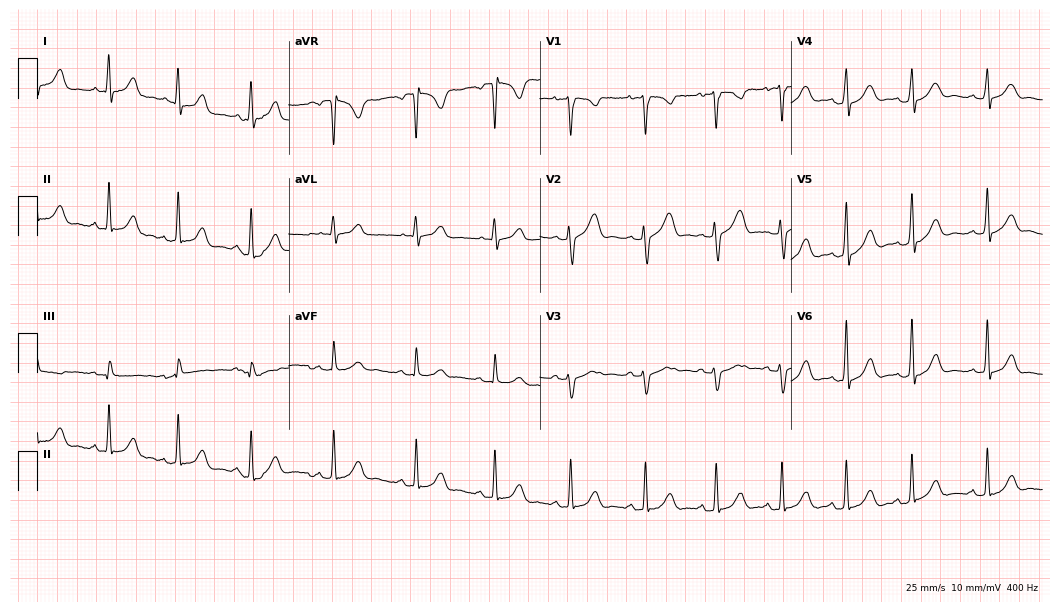
Resting 12-lead electrocardiogram. Patient: a female, 19 years old. None of these six findings is recorded: first-degree AV block, right bundle branch block, left bundle branch block, sinus bradycardia, atrial fibrillation, sinus tachycardia. Other findings, if any, are not listed.